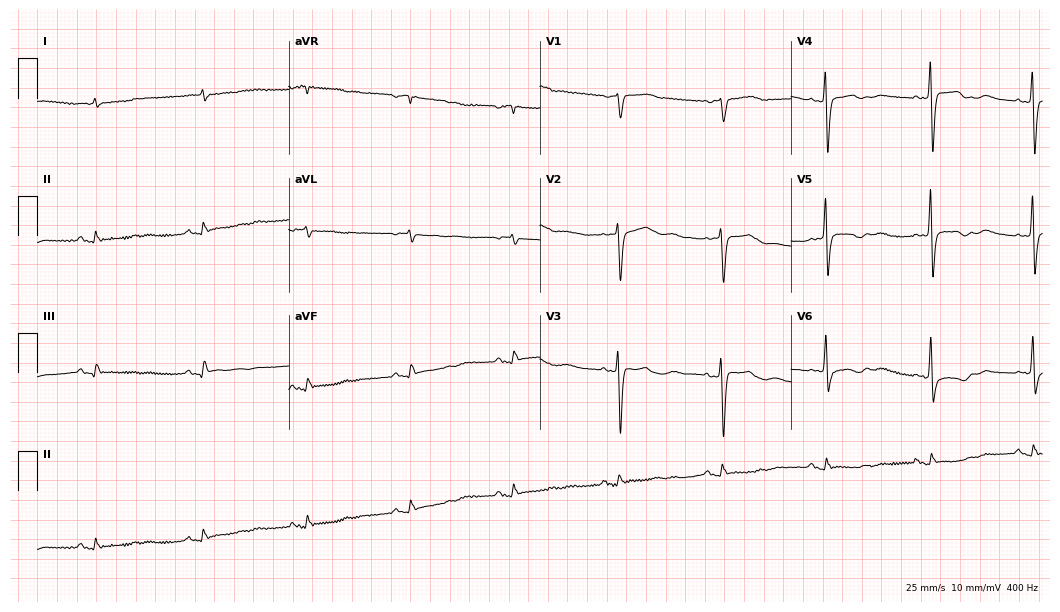
12-lead ECG from a woman, 67 years old. Screened for six findings — first-degree AV block, right bundle branch block (RBBB), left bundle branch block (LBBB), sinus bradycardia, atrial fibrillation (AF), sinus tachycardia — none is recorded. Only these six findings were labelled.